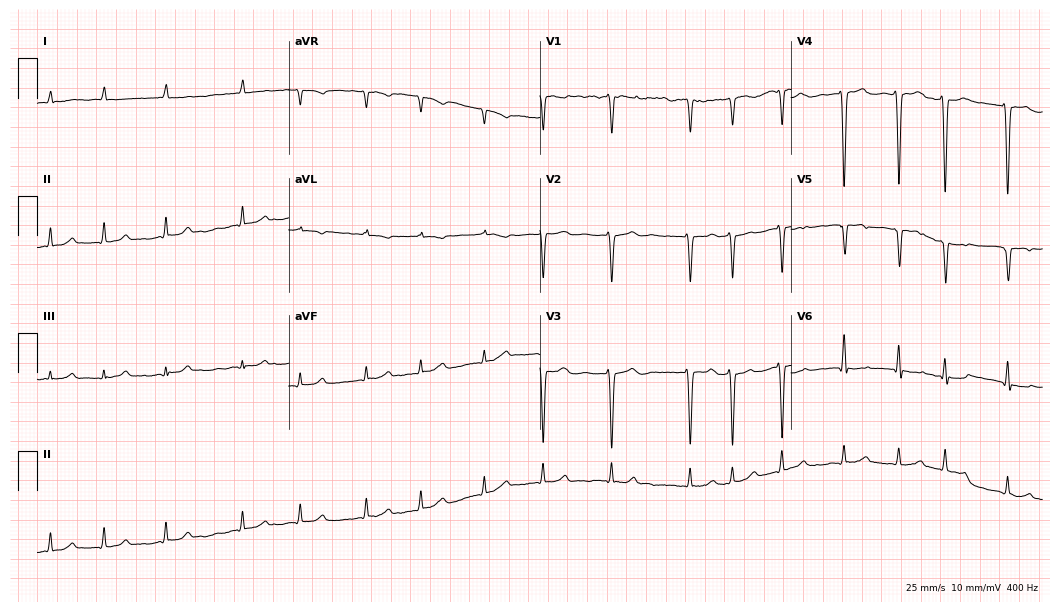
12-lead ECG from a male patient, 53 years old. Findings include atrial fibrillation (AF).